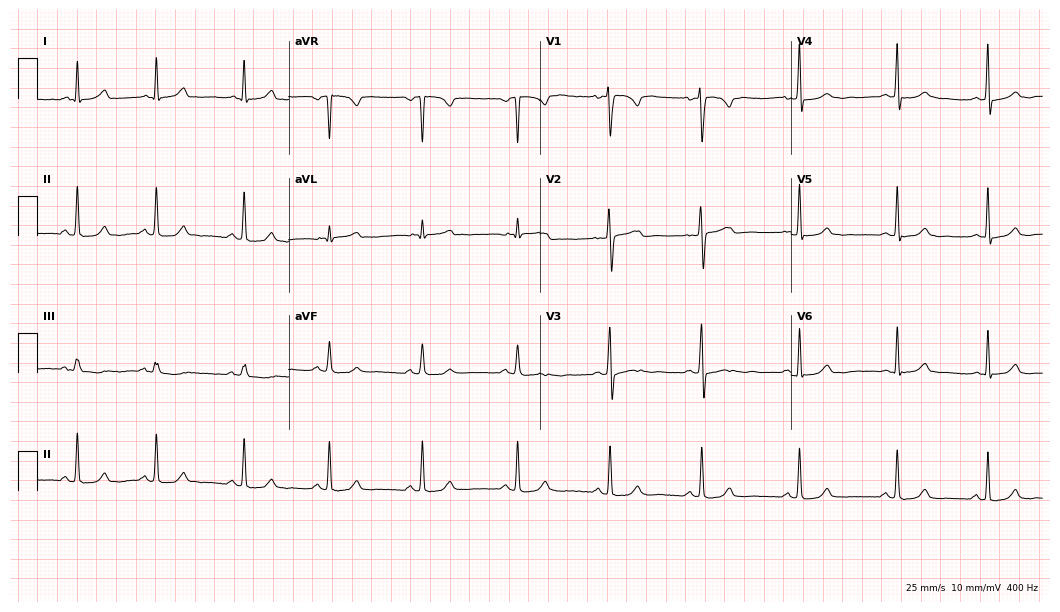
Resting 12-lead electrocardiogram (10.2-second recording at 400 Hz). Patient: a woman, 25 years old. Read as a normal ECG.